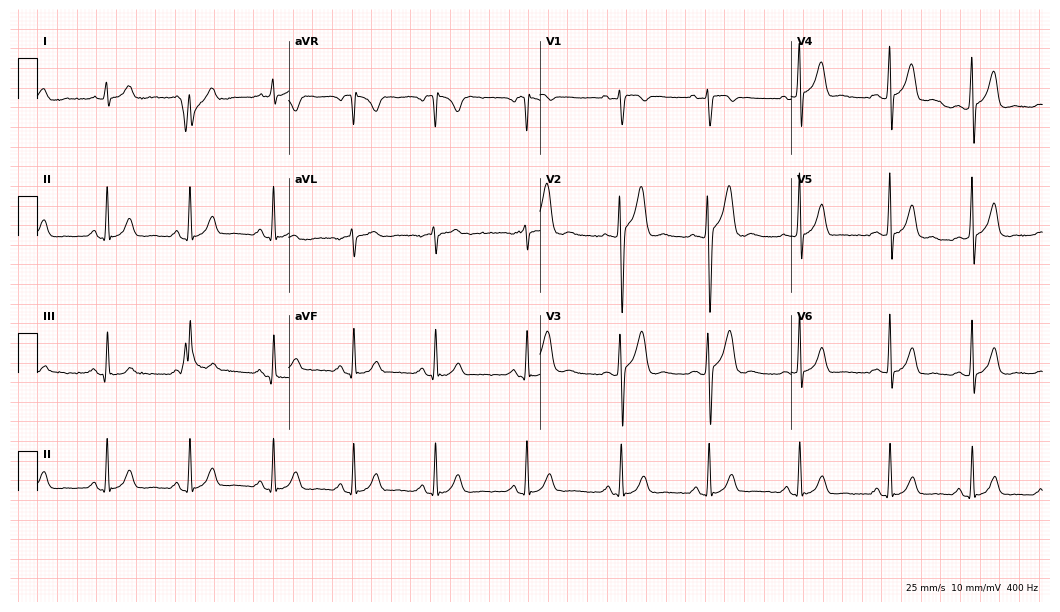
Resting 12-lead electrocardiogram (10.2-second recording at 400 Hz). Patient: a male, 28 years old. Read as a normal ECG.